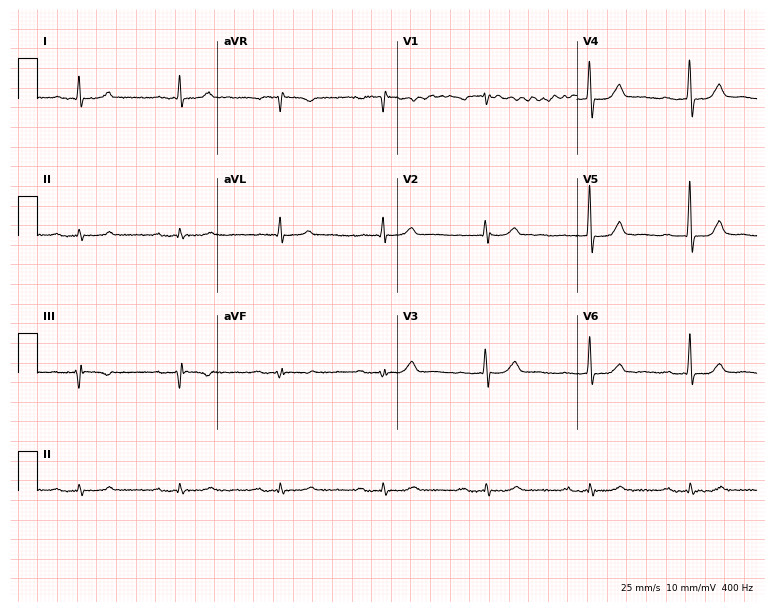
Resting 12-lead electrocardiogram (7.3-second recording at 400 Hz). Patient: a man, 65 years old. The tracing shows first-degree AV block.